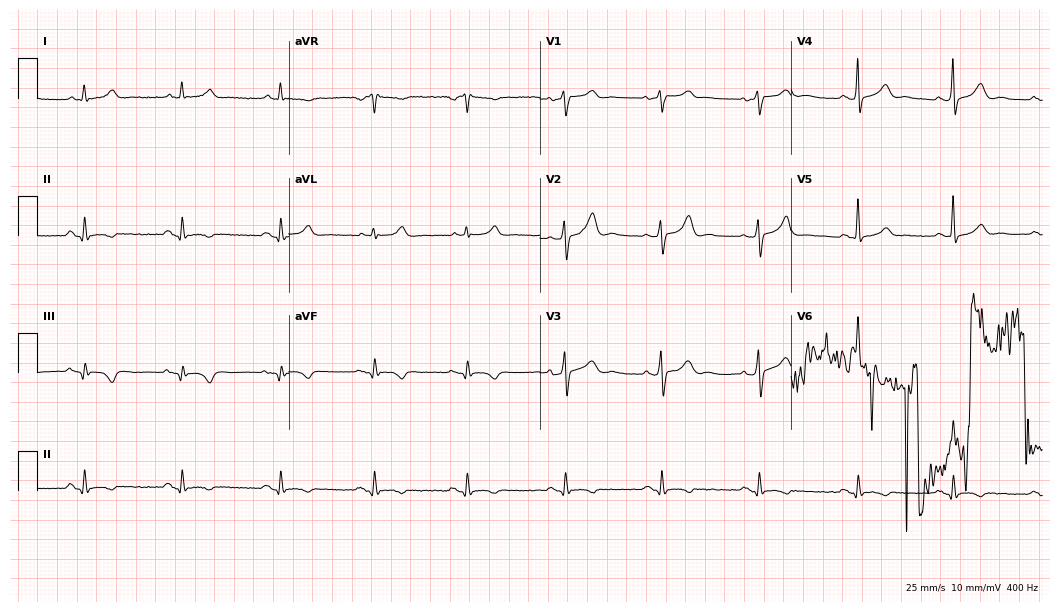
Resting 12-lead electrocardiogram. Patient: a male, 79 years old. None of these six findings is recorded: first-degree AV block, right bundle branch block (RBBB), left bundle branch block (LBBB), sinus bradycardia, atrial fibrillation (AF), sinus tachycardia. Findings outside these six are not listed.